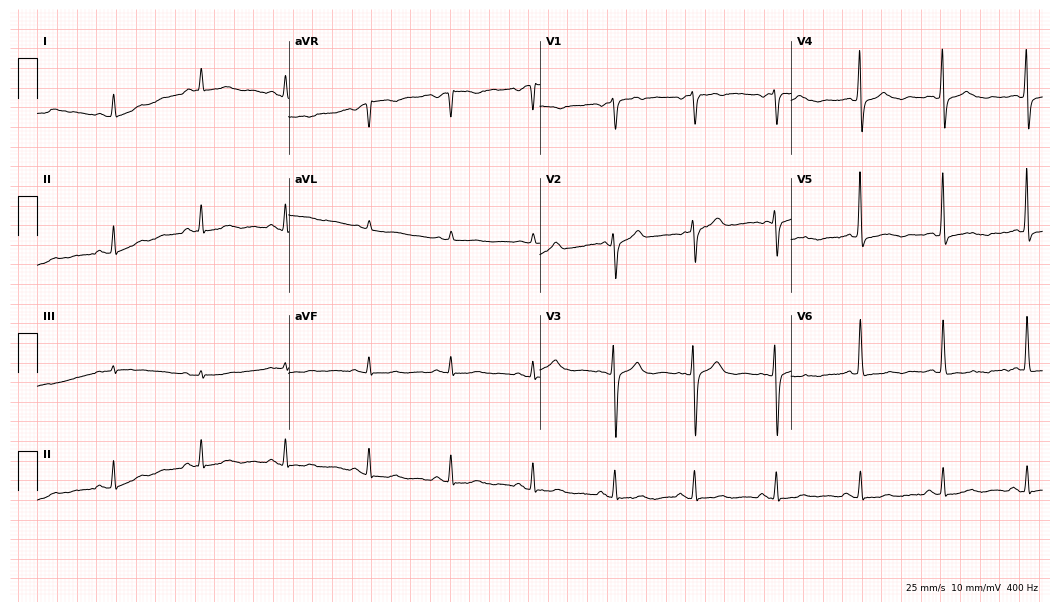
Electrocardiogram, a woman, 65 years old. Of the six screened findings (first-degree AV block, right bundle branch block (RBBB), left bundle branch block (LBBB), sinus bradycardia, atrial fibrillation (AF), sinus tachycardia), none is recorded. Findings outside these six are not listed.